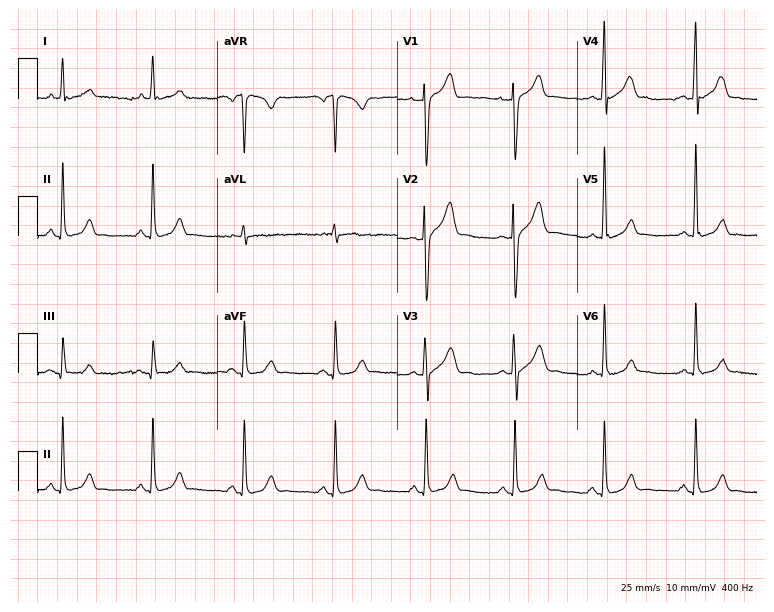
12-lead ECG from a 54-year-old male patient. No first-degree AV block, right bundle branch block (RBBB), left bundle branch block (LBBB), sinus bradycardia, atrial fibrillation (AF) or sinus tachycardia recorded for this tracing. Other findings, if any, are not listed.